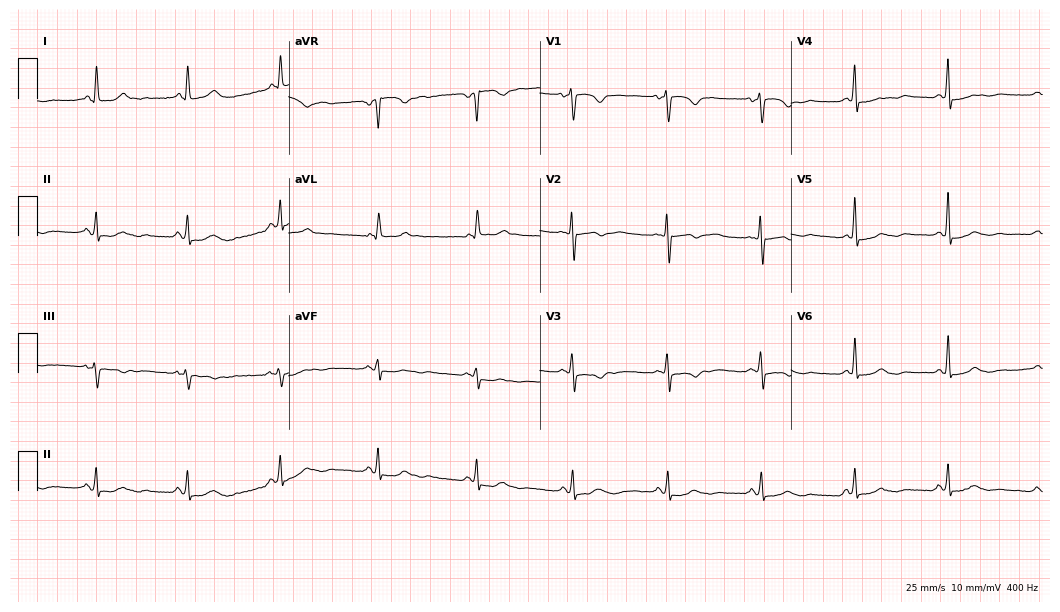
12-lead ECG from a 62-year-old woman. Screened for six findings — first-degree AV block, right bundle branch block, left bundle branch block, sinus bradycardia, atrial fibrillation, sinus tachycardia — none is recorded. Findings outside these six are not listed.